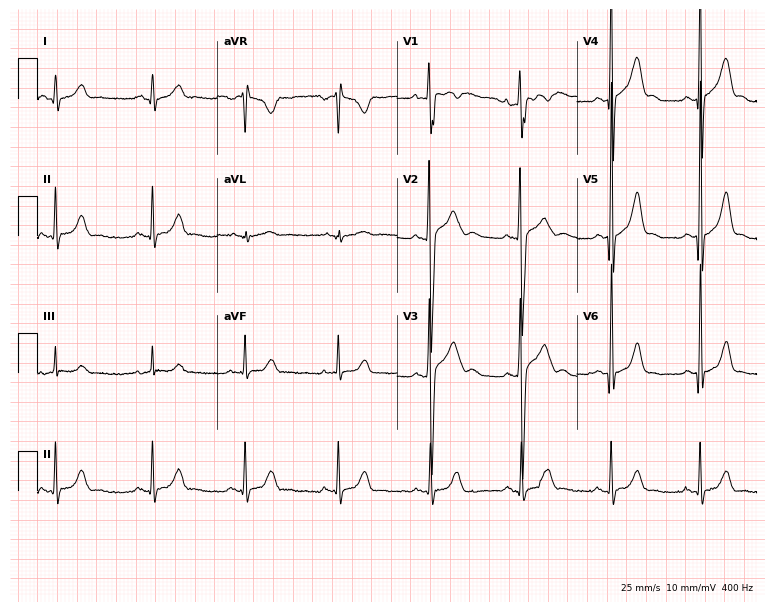
12-lead ECG from a male patient, 20 years old. Labelled as a normal ECG.